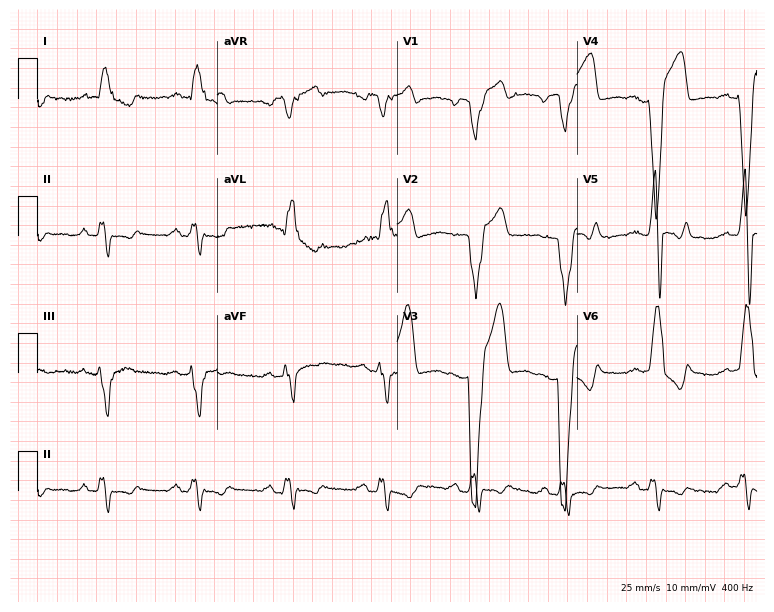
12-lead ECG from a 68-year-old man. No first-degree AV block, right bundle branch block (RBBB), left bundle branch block (LBBB), sinus bradycardia, atrial fibrillation (AF) or sinus tachycardia recorded for this tracing. Only these six findings were labelled.